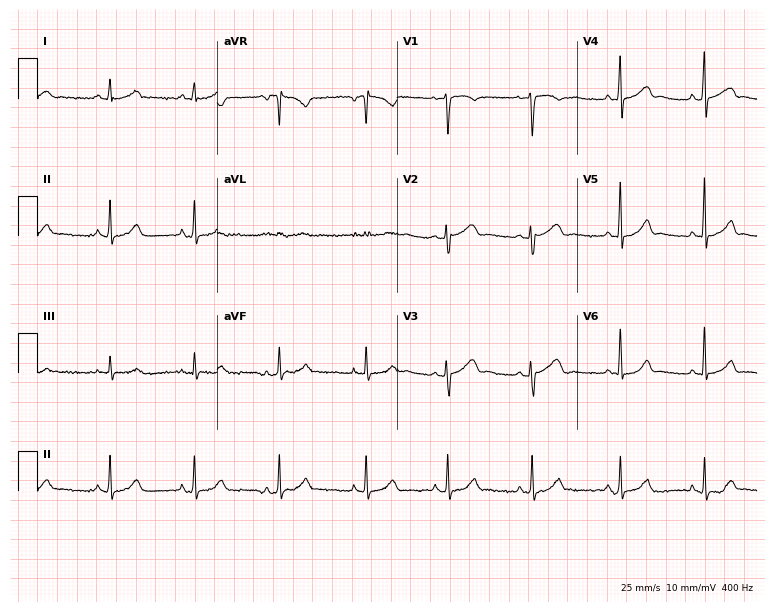
12-lead ECG from a 28-year-old female patient (7.3-second recording at 400 Hz). Recorded interpretation: within normal limits.